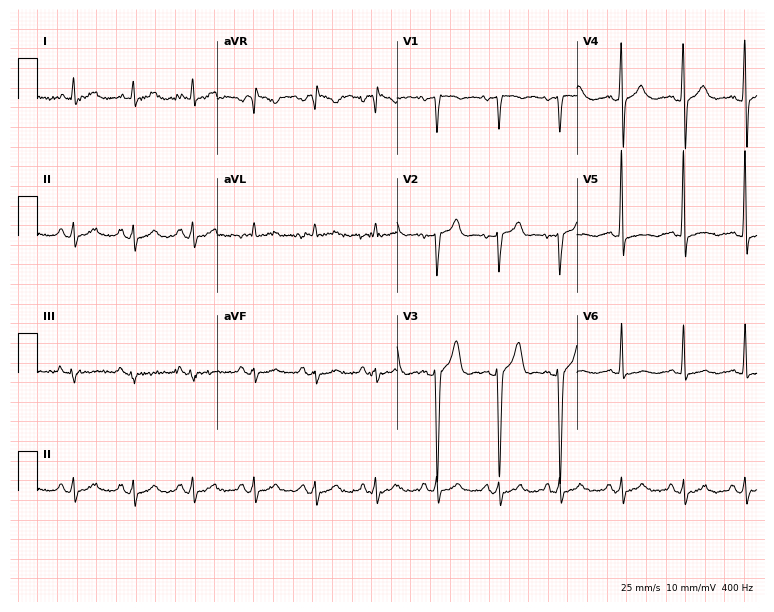
12-lead ECG from a 38-year-old male. No first-degree AV block, right bundle branch block (RBBB), left bundle branch block (LBBB), sinus bradycardia, atrial fibrillation (AF) or sinus tachycardia recorded for this tracing. Other findings, if any, are not listed.